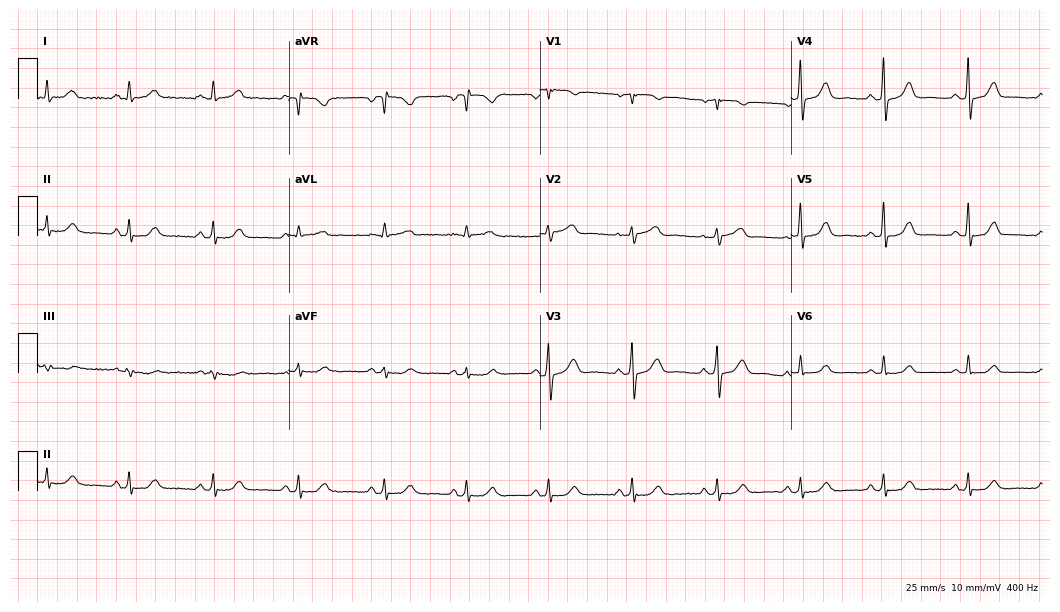
12-lead ECG from a 54-year-old female patient (10.2-second recording at 400 Hz). Recorded interpretation: within normal limits.